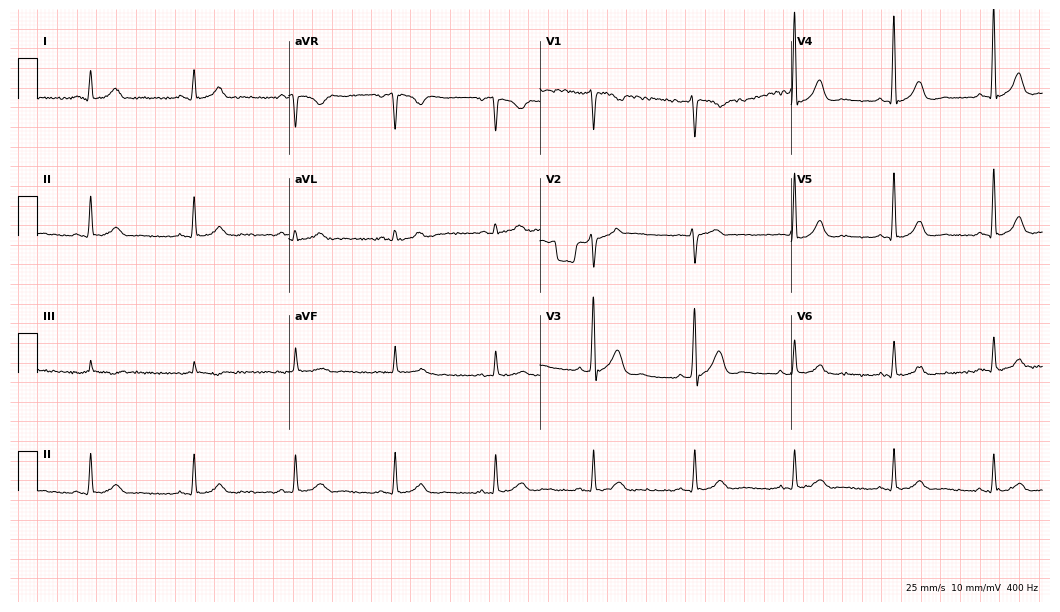
12-lead ECG from a 42-year-old man (10.2-second recording at 400 Hz). Recorded interpretation: within normal limits.